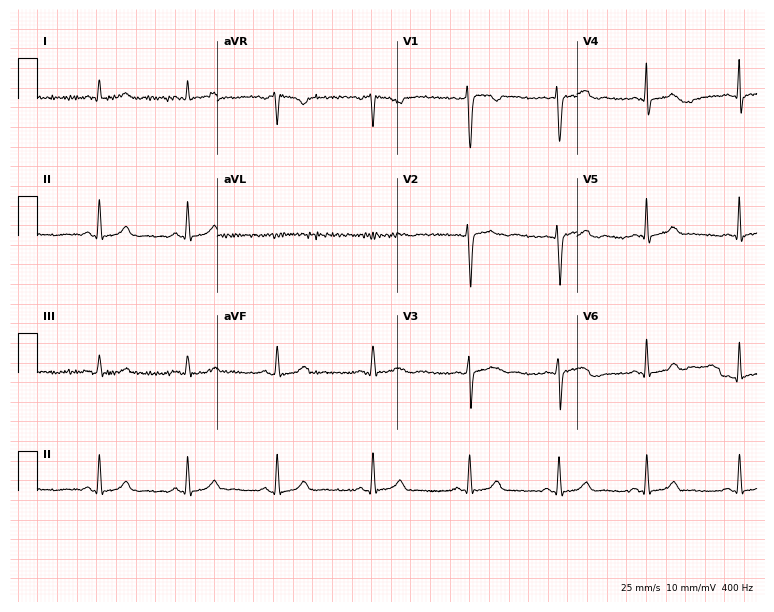
Electrocardiogram, a female patient, 35 years old. Overall reading on record: normal ECG.